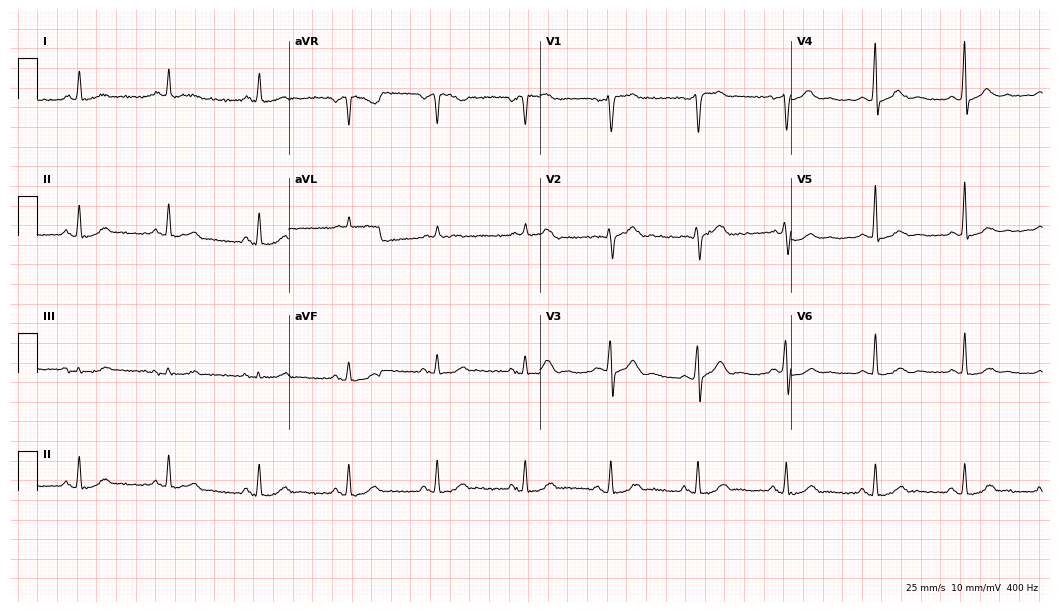
Electrocardiogram, a 61-year-old man. Overall reading on record: normal ECG.